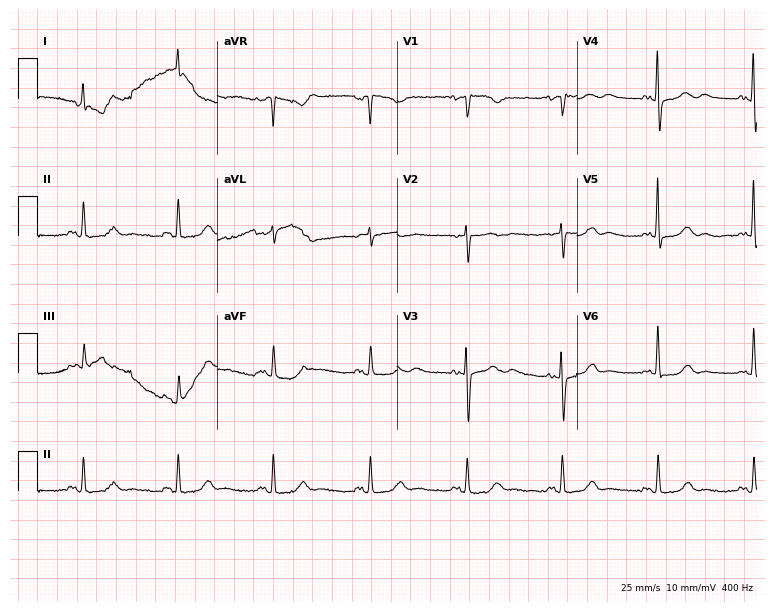
12-lead ECG from a female patient, 83 years old (7.3-second recording at 400 Hz). Recorded interpretation: within normal limits.